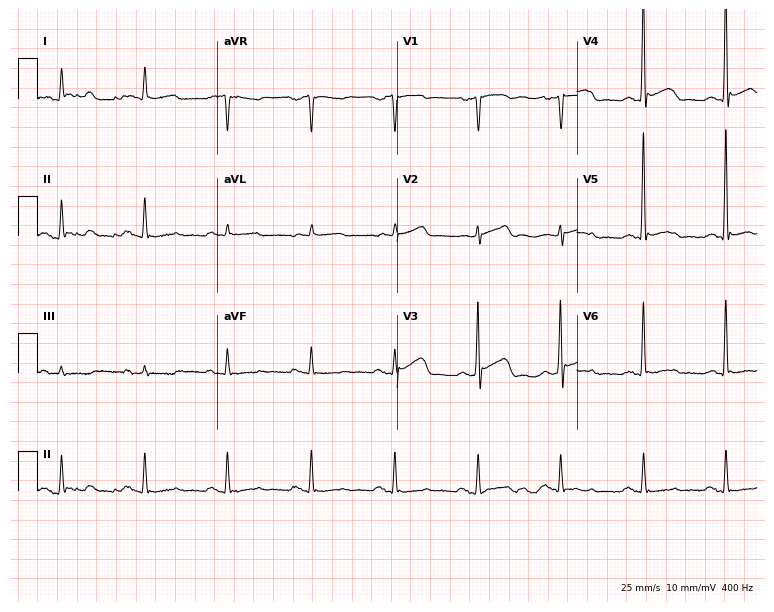
Standard 12-lead ECG recorded from a 77-year-old male patient (7.3-second recording at 400 Hz). None of these six findings is recorded: first-degree AV block, right bundle branch block (RBBB), left bundle branch block (LBBB), sinus bradycardia, atrial fibrillation (AF), sinus tachycardia. Only these six findings were labelled.